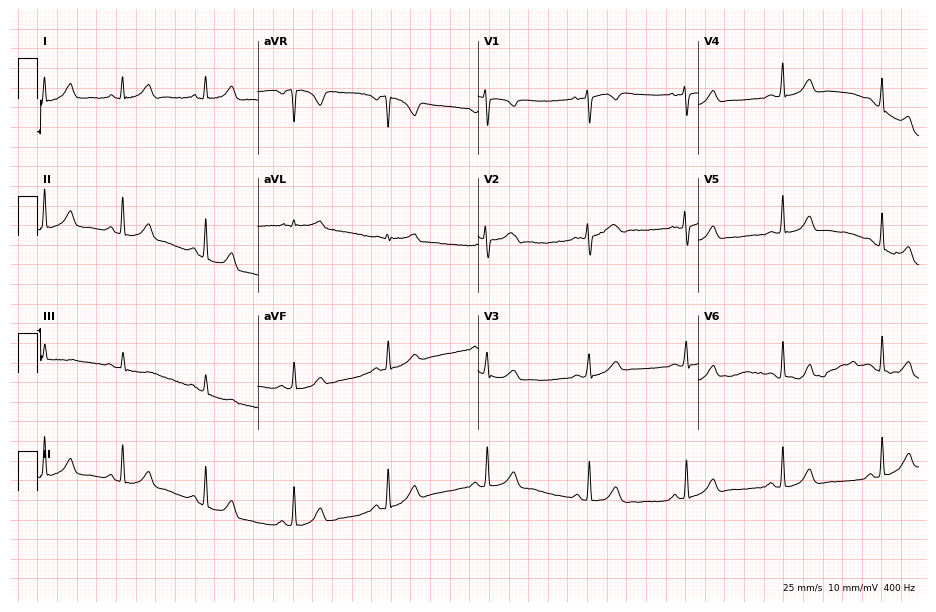
ECG (9-second recording at 400 Hz) — a female patient, 35 years old. Labelled as a normal ECG.